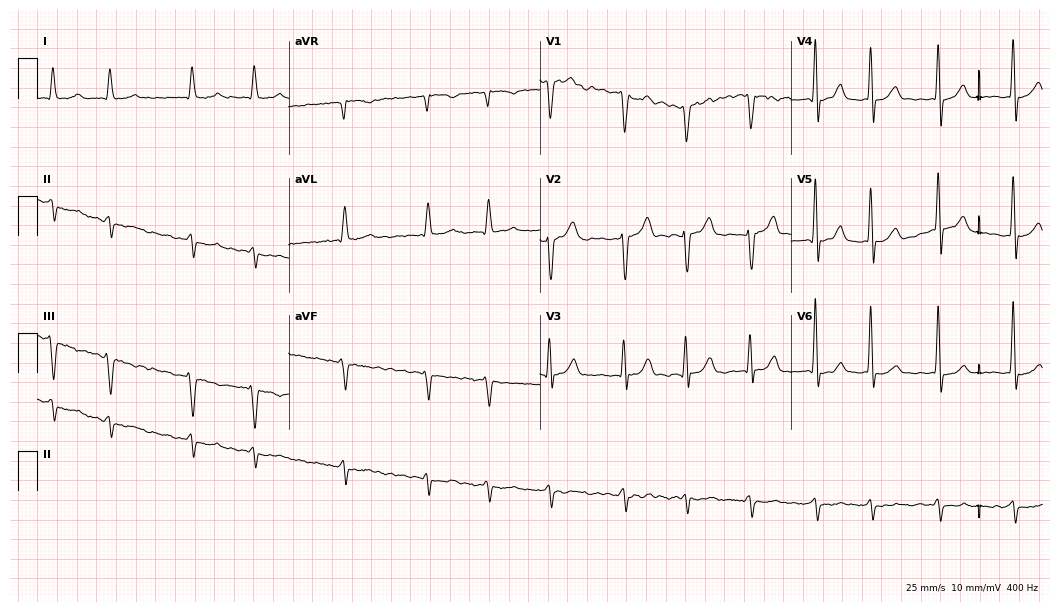
12-lead ECG from a male patient, 82 years old (10.2-second recording at 400 Hz). Shows atrial fibrillation (AF).